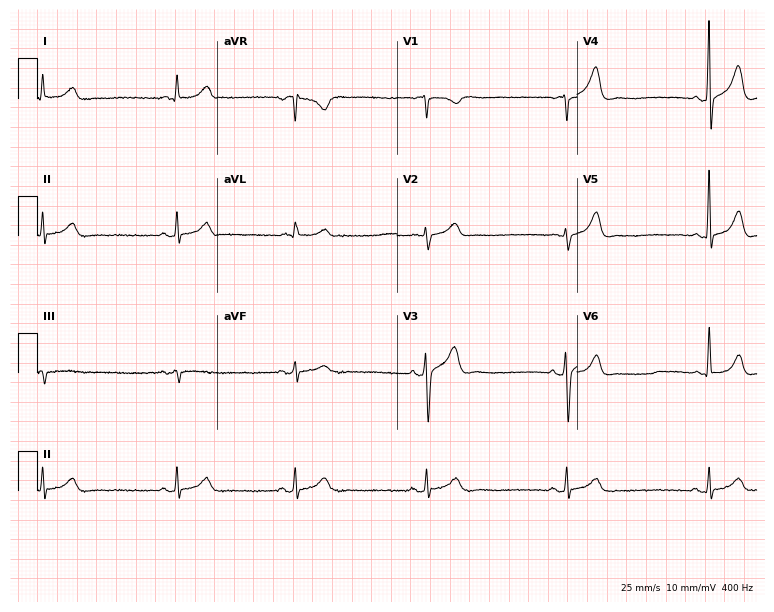
Electrocardiogram (7.3-second recording at 400 Hz), a male patient, 44 years old. Interpretation includes sinus bradycardia (a sinus rate of 50 beats per minute or less).